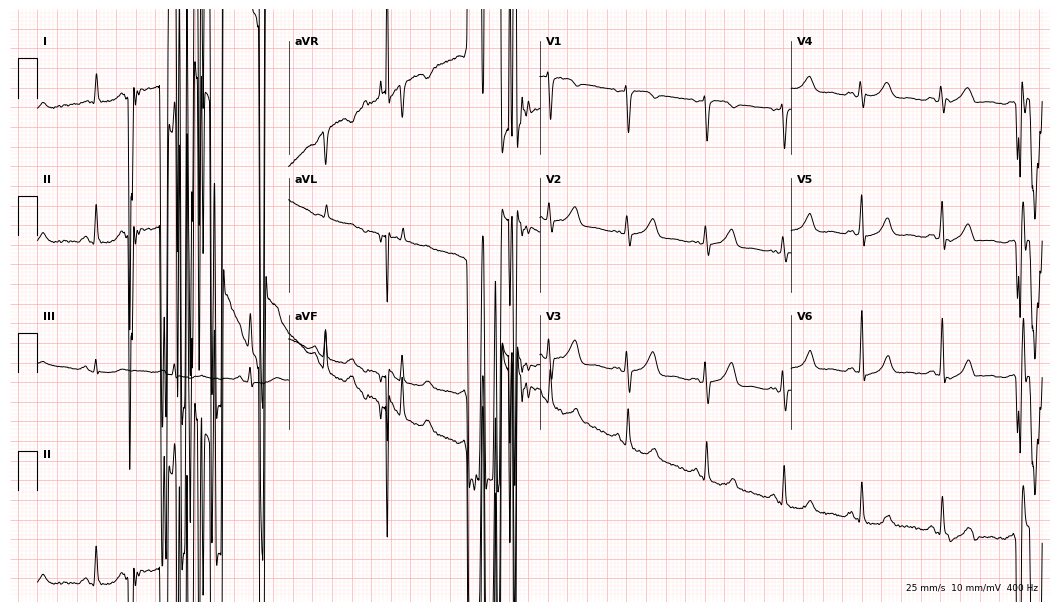
Standard 12-lead ECG recorded from a woman, 50 years old (10.2-second recording at 400 Hz). None of these six findings is recorded: first-degree AV block, right bundle branch block, left bundle branch block, sinus bradycardia, atrial fibrillation, sinus tachycardia. Other findings, if any, are not listed.